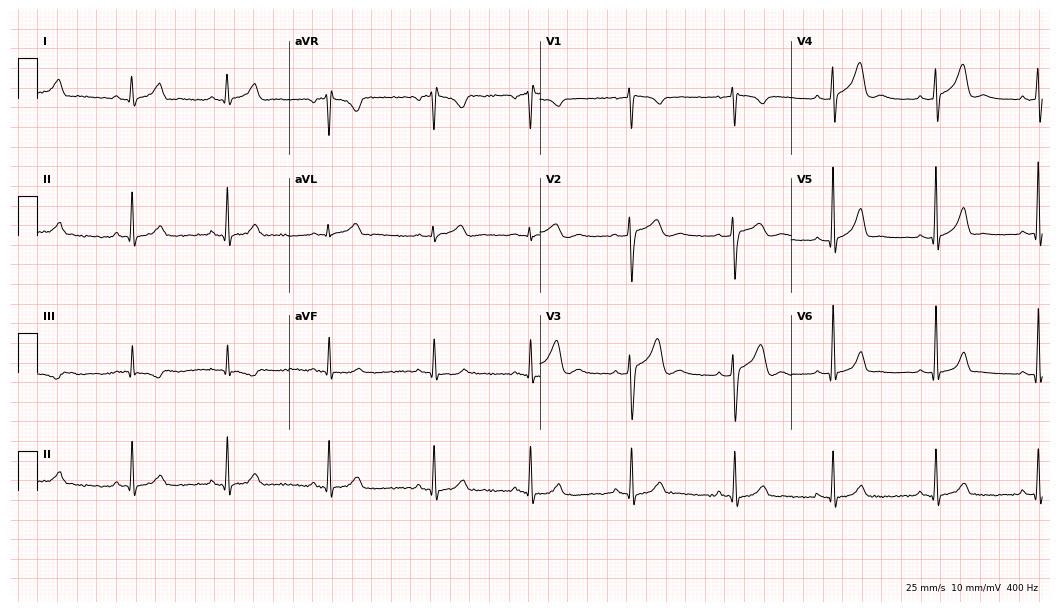
12-lead ECG from a woman, 28 years old. No first-degree AV block, right bundle branch block, left bundle branch block, sinus bradycardia, atrial fibrillation or sinus tachycardia recorded for this tracing.